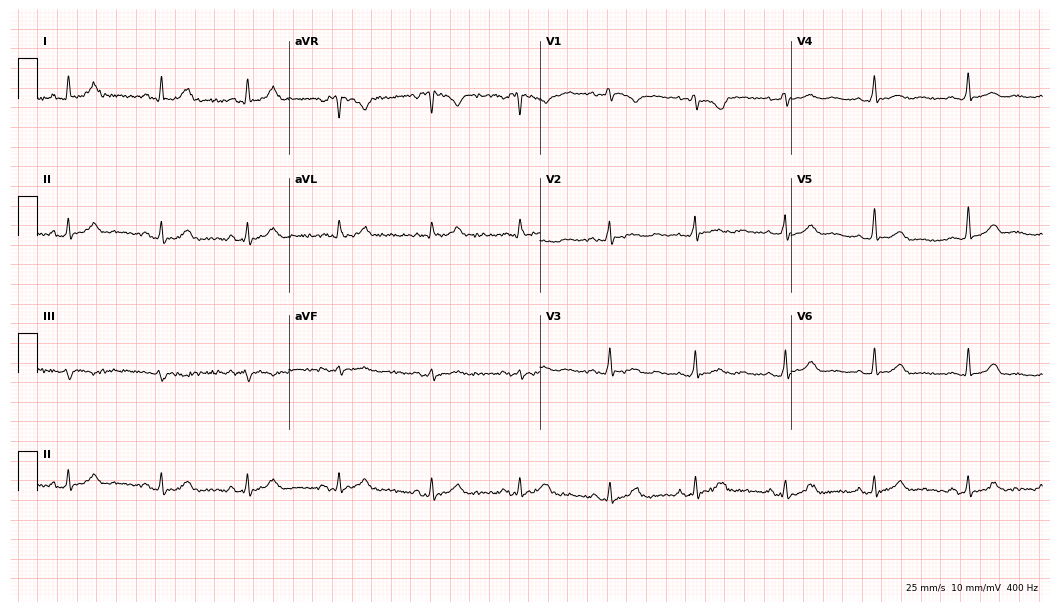
Standard 12-lead ECG recorded from a woman, 31 years old. Read as a normal ECG.